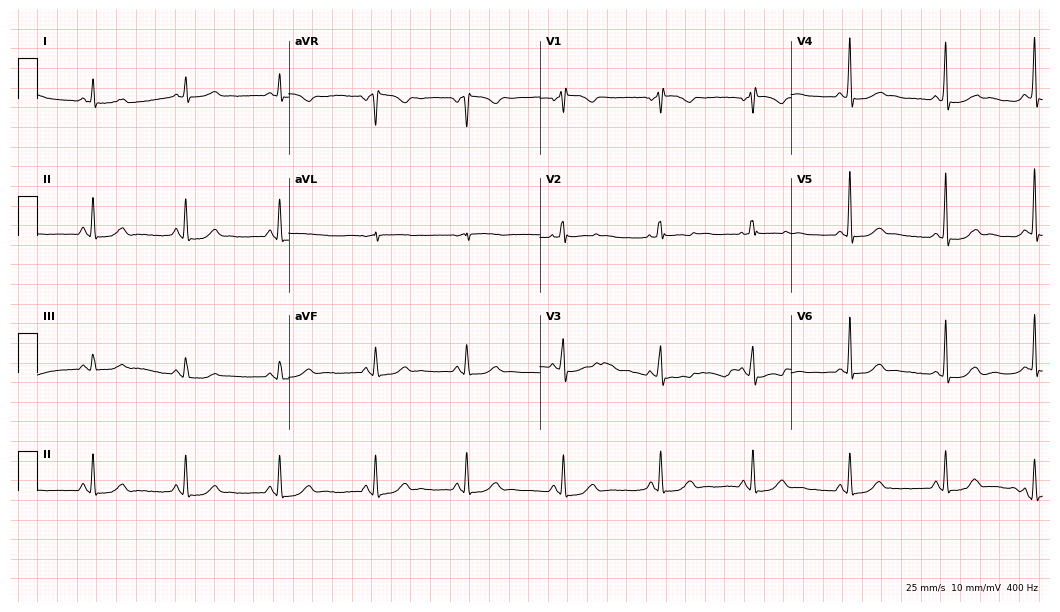
Standard 12-lead ECG recorded from a 54-year-old woman (10.2-second recording at 400 Hz). None of these six findings is recorded: first-degree AV block, right bundle branch block, left bundle branch block, sinus bradycardia, atrial fibrillation, sinus tachycardia.